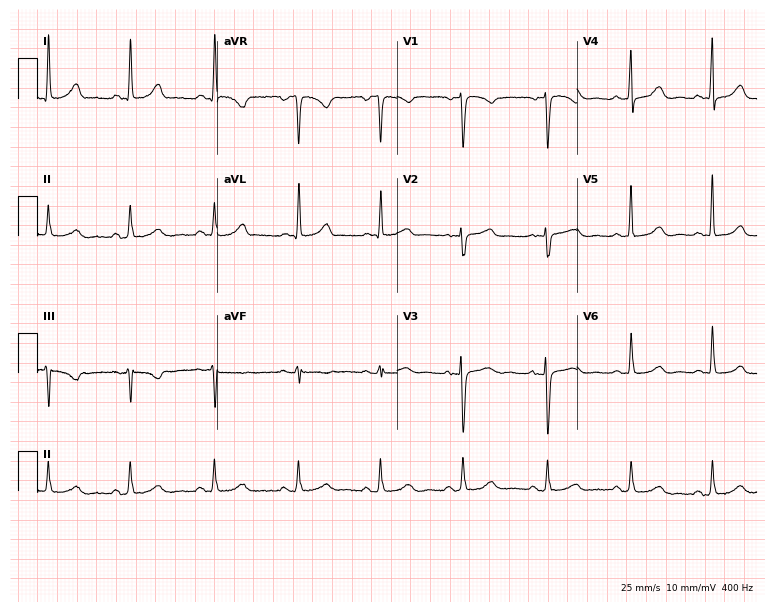
ECG — a female patient, 54 years old. Labelled as a normal ECG.